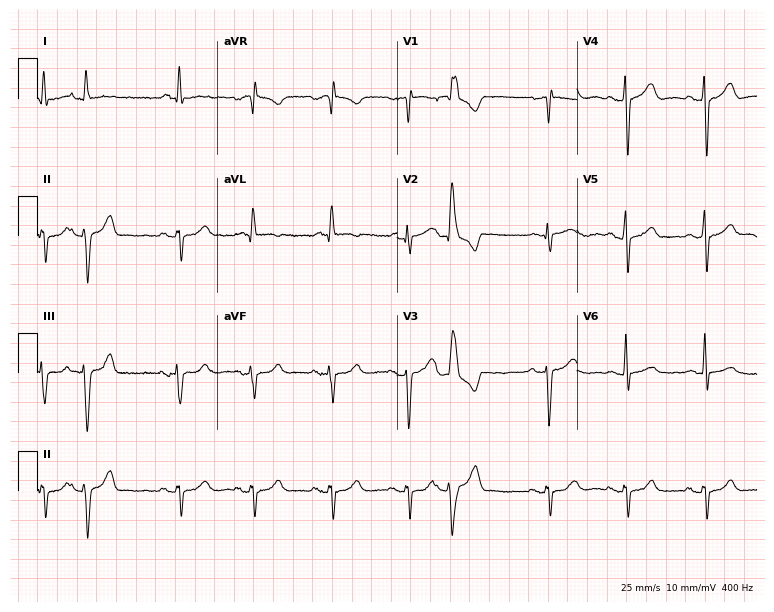
12-lead ECG from a man, 75 years old (7.3-second recording at 400 Hz). No first-degree AV block, right bundle branch block (RBBB), left bundle branch block (LBBB), sinus bradycardia, atrial fibrillation (AF) or sinus tachycardia recorded for this tracing. Other findings, if any, are not listed.